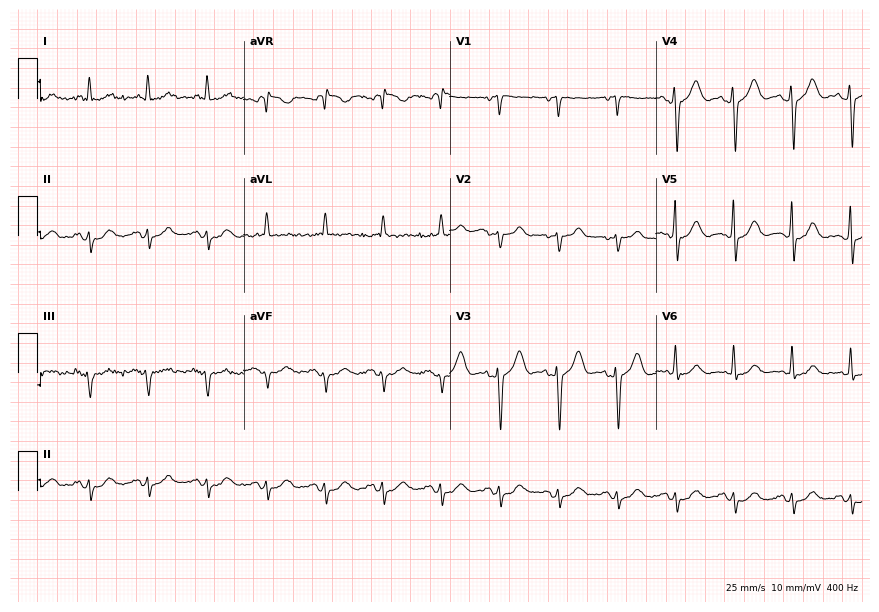
Standard 12-lead ECG recorded from a male, 62 years old. None of these six findings is recorded: first-degree AV block, right bundle branch block (RBBB), left bundle branch block (LBBB), sinus bradycardia, atrial fibrillation (AF), sinus tachycardia.